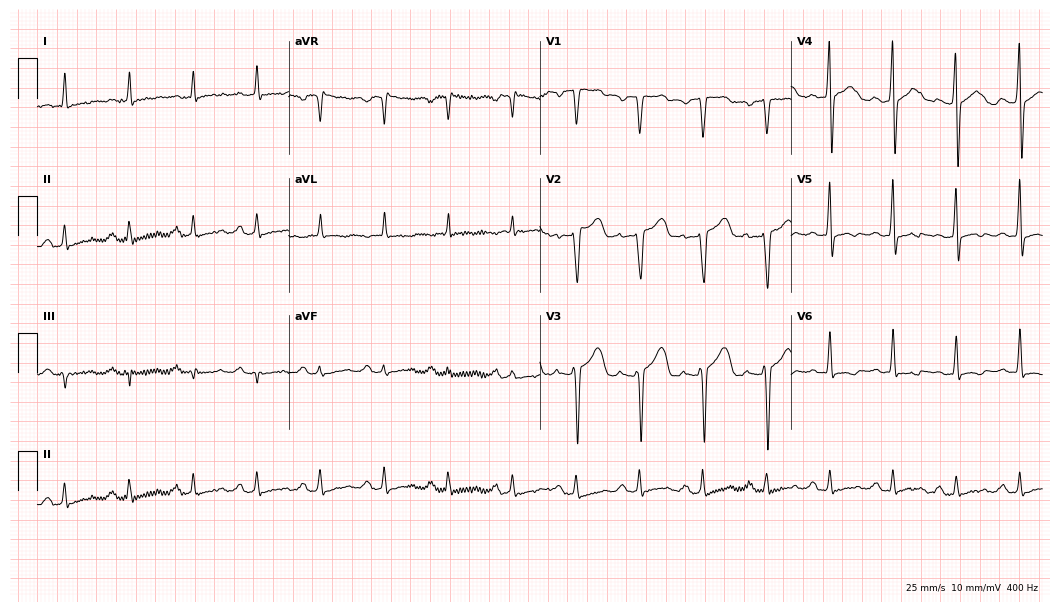
Resting 12-lead electrocardiogram. Patient: a man, 69 years old. None of these six findings is recorded: first-degree AV block, right bundle branch block, left bundle branch block, sinus bradycardia, atrial fibrillation, sinus tachycardia. Other findings, if any, are not listed.